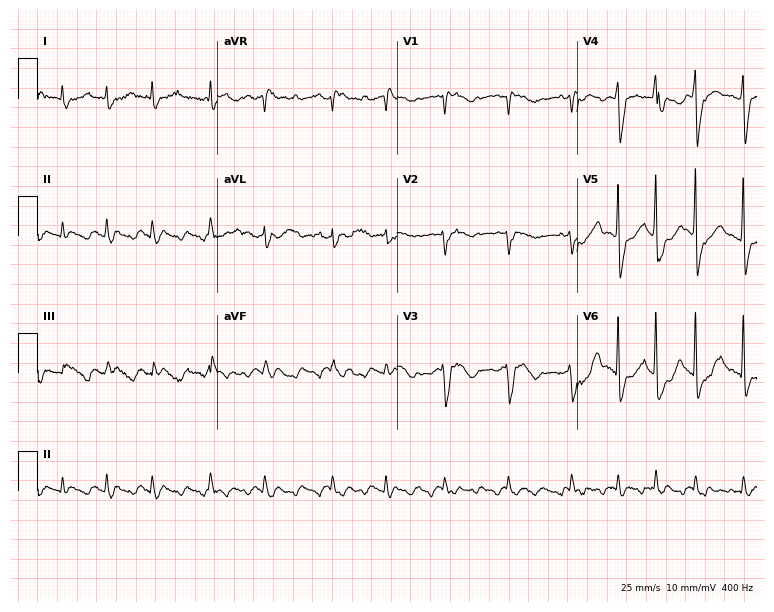
Electrocardiogram, a male patient, 82 years old. Interpretation includes atrial fibrillation (AF).